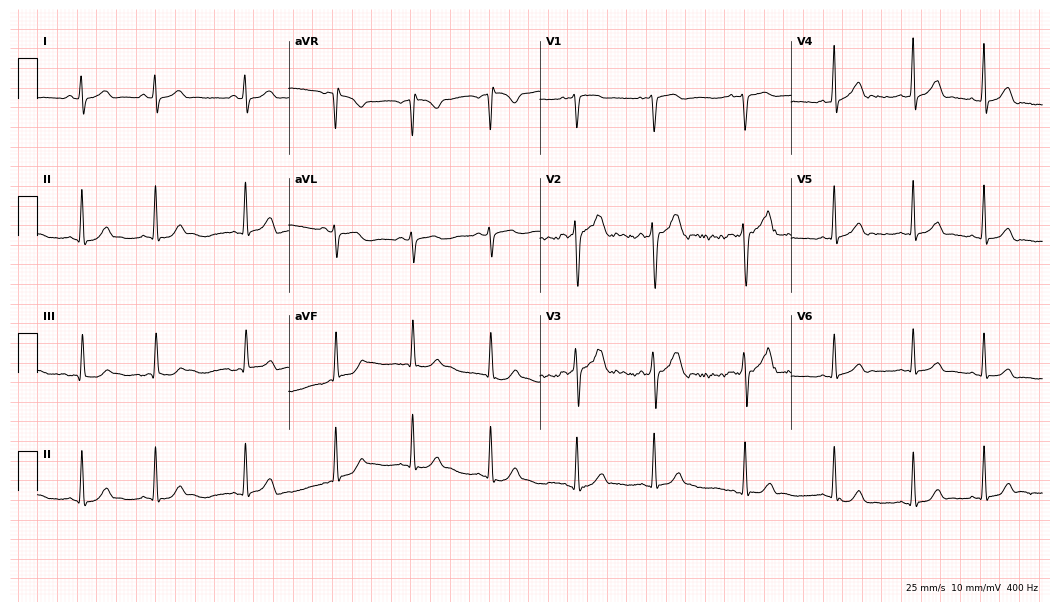
Resting 12-lead electrocardiogram (10.2-second recording at 400 Hz). Patient: a male, 22 years old. Read as a normal ECG.